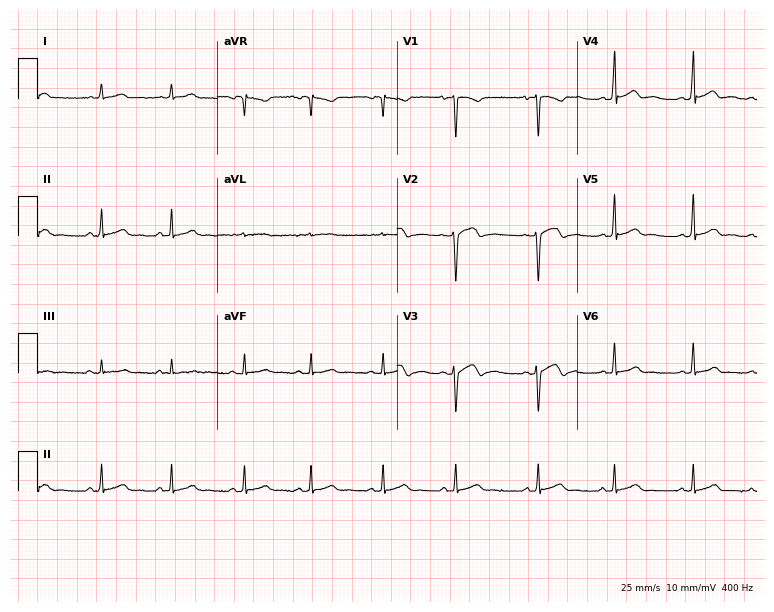
Electrocardiogram (7.3-second recording at 400 Hz), a female, 21 years old. Of the six screened findings (first-degree AV block, right bundle branch block (RBBB), left bundle branch block (LBBB), sinus bradycardia, atrial fibrillation (AF), sinus tachycardia), none is recorded. Only these six findings were labelled.